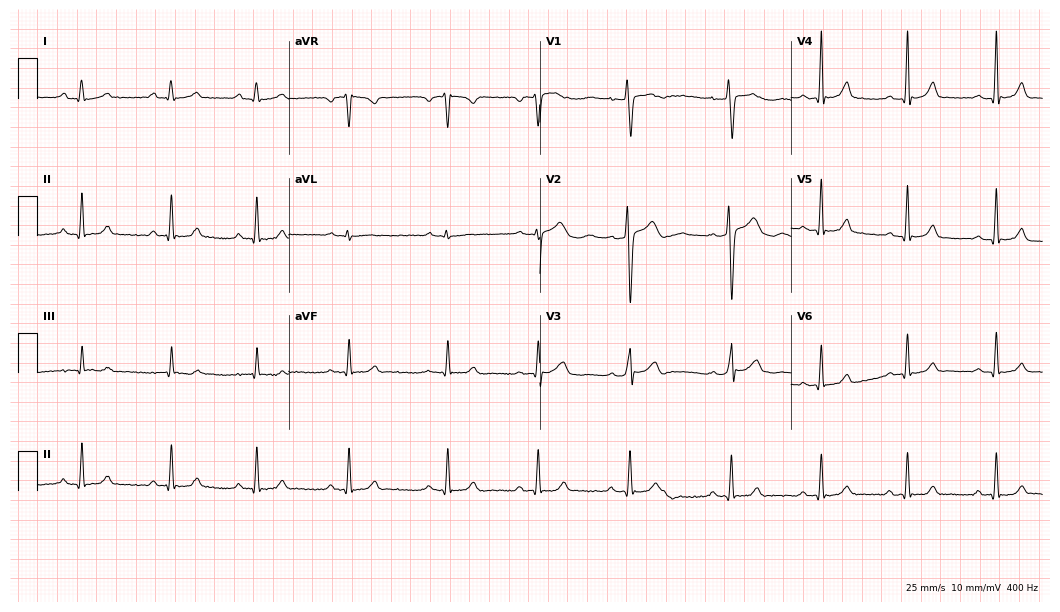
ECG — a woman, 27 years old. Labelled as a normal ECG.